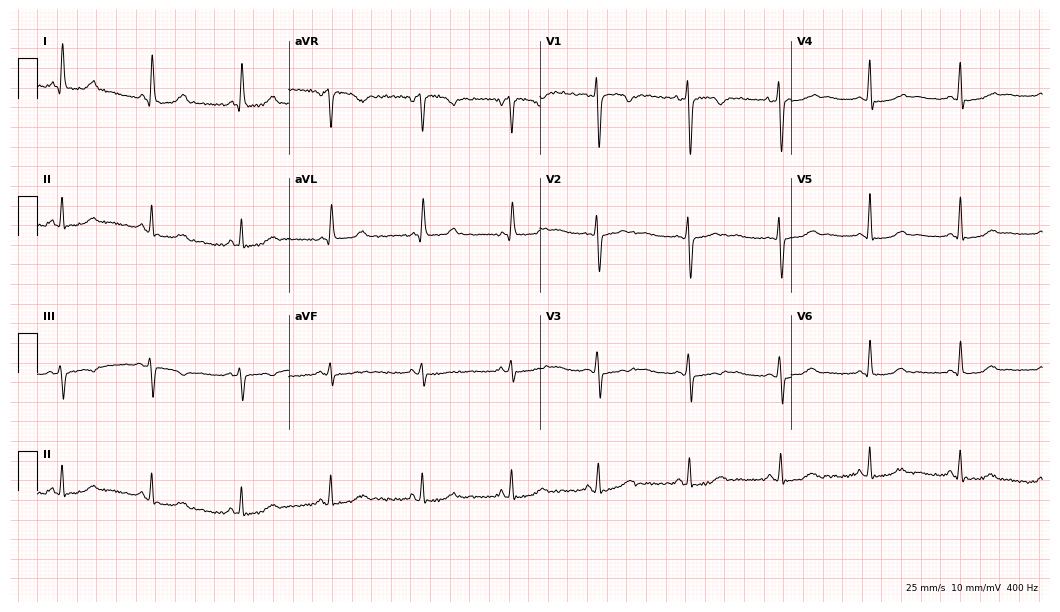
Resting 12-lead electrocardiogram. Patient: a female, 44 years old. None of these six findings is recorded: first-degree AV block, right bundle branch block, left bundle branch block, sinus bradycardia, atrial fibrillation, sinus tachycardia. Only these six findings were labelled.